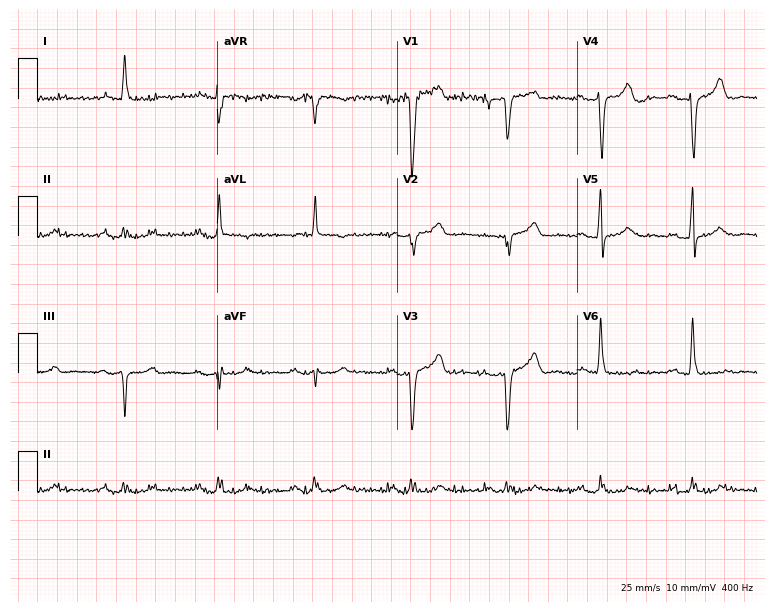
Electrocardiogram (7.3-second recording at 400 Hz), a male, 84 years old. Of the six screened findings (first-degree AV block, right bundle branch block, left bundle branch block, sinus bradycardia, atrial fibrillation, sinus tachycardia), none is recorded. Findings outside these six are not listed.